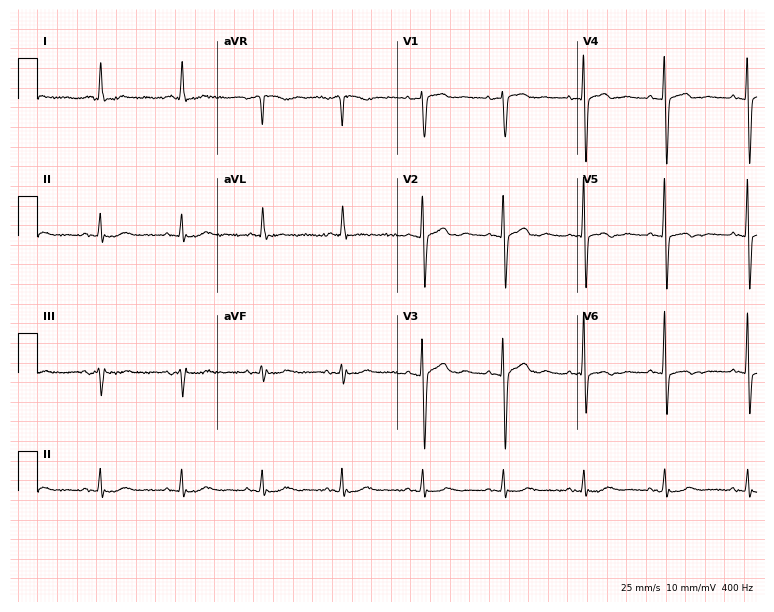
Resting 12-lead electrocardiogram (7.3-second recording at 400 Hz). Patient: a 76-year-old female. None of these six findings is recorded: first-degree AV block, right bundle branch block, left bundle branch block, sinus bradycardia, atrial fibrillation, sinus tachycardia. Only these six findings were labelled.